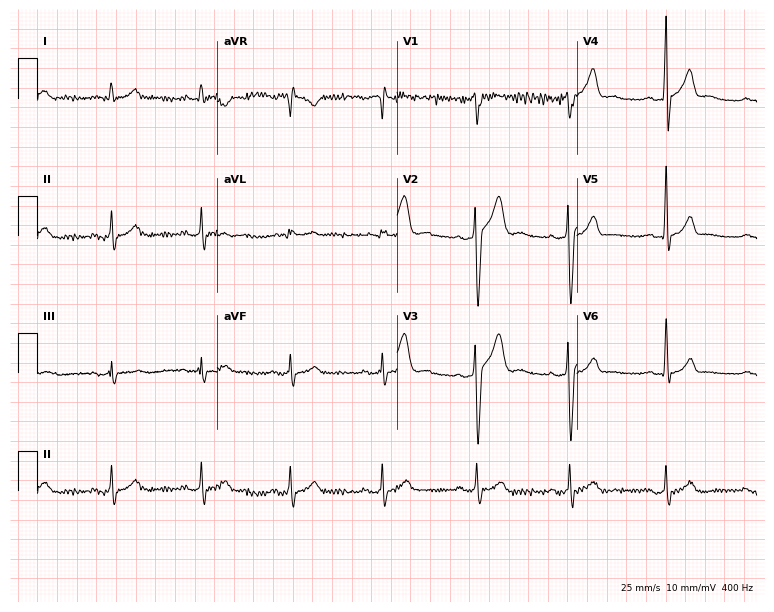
12-lead ECG from a man, 36 years old (7.3-second recording at 400 Hz). No first-degree AV block, right bundle branch block (RBBB), left bundle branch block (LBBB), sinus bradycardia, atrial fibrillation (AF) or sinus tachycardia recorded for this tracing.